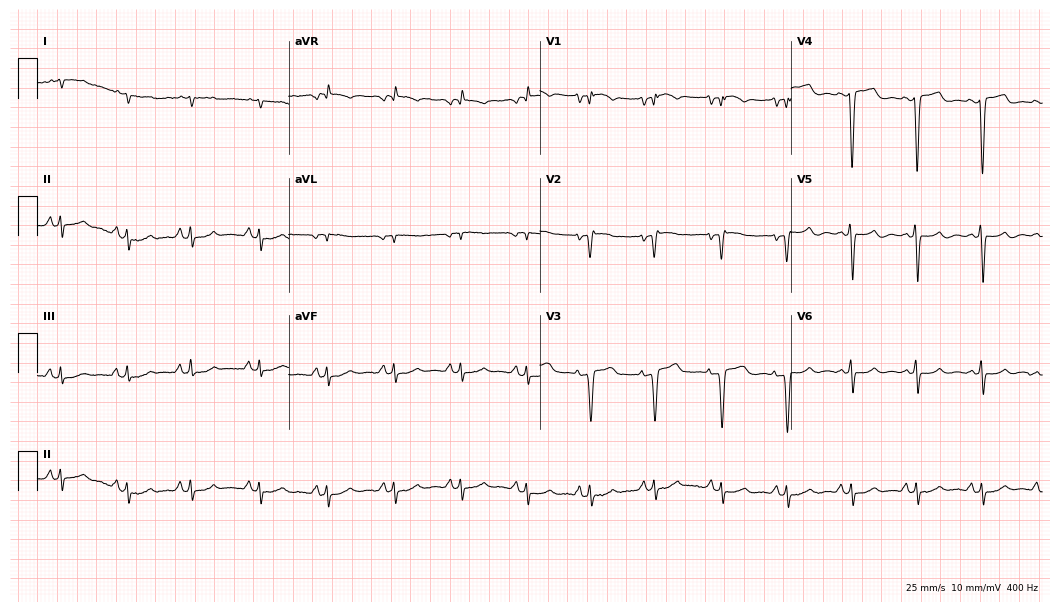
Electrocardiogram, an 82-year-old female. Of the six screened findings (first-degree AV block, right bundle branch block, left bundle branch block, sinus bradycardia, atrial fibrillation, sinus tachycardia), none is recorded. Findings outside these six are not listed.